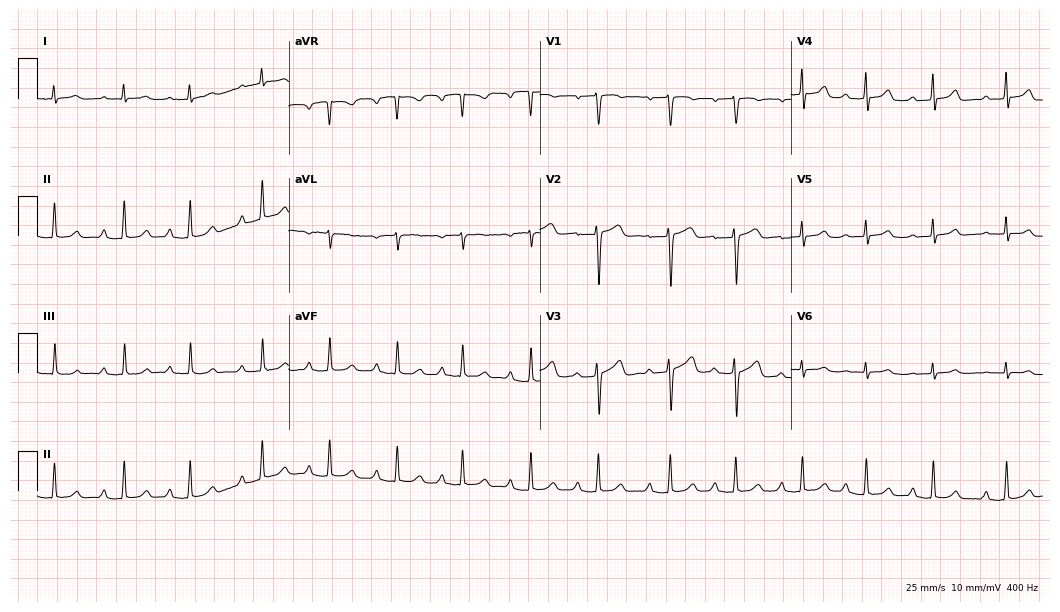
ECG (10.2-second recording at 400 Hz) — a 31-year-old female patient. Screened for six findings — first-degree AV block, right bundle branch block, left bundle branch block, sinus bradycardia, atrial fibrillation, sinus tachycardia — none is recorded.